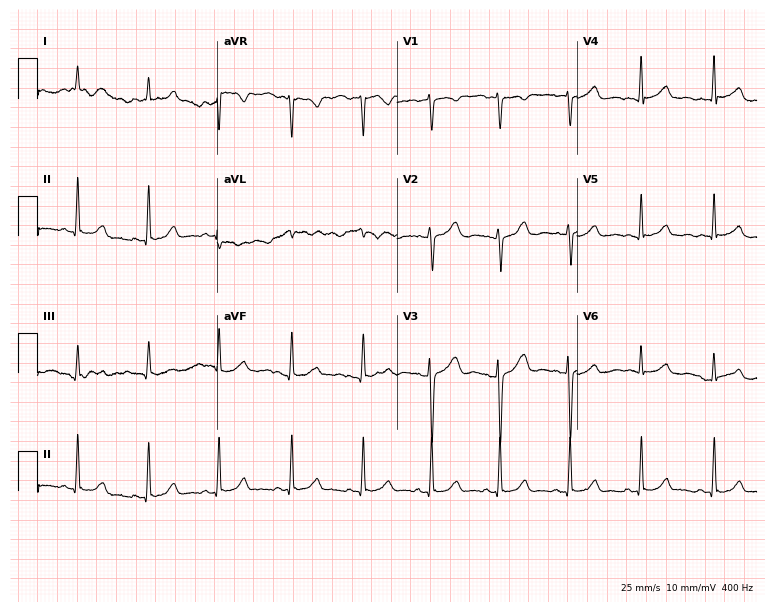
ECG — a 26-year-old female. Labelled as a normal ECG.